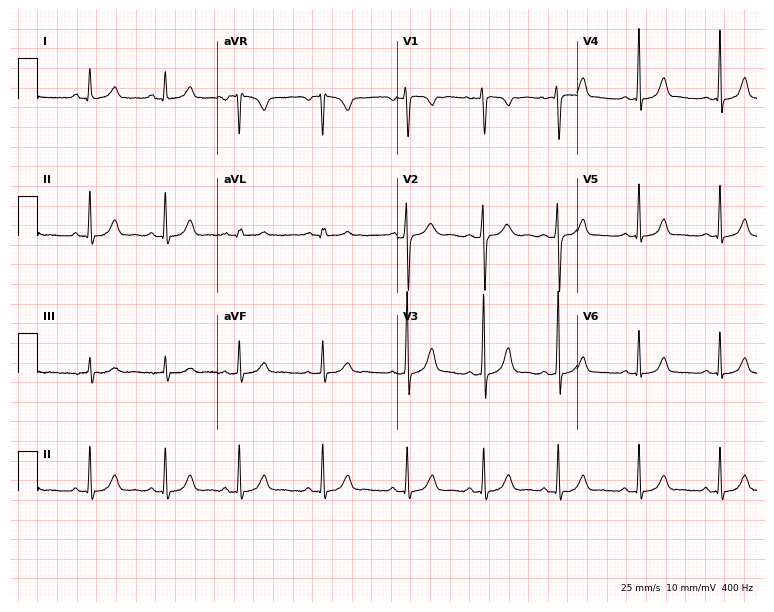
ECG (7.3-second recording at 400 Hz) — a woman, 18 years old. Screened for six findings — first-degree AV block, right bundle branch block, left bundle branch block, sinus bradycardia, atrial fibrillation, sinus tachycardia — none is recorded.